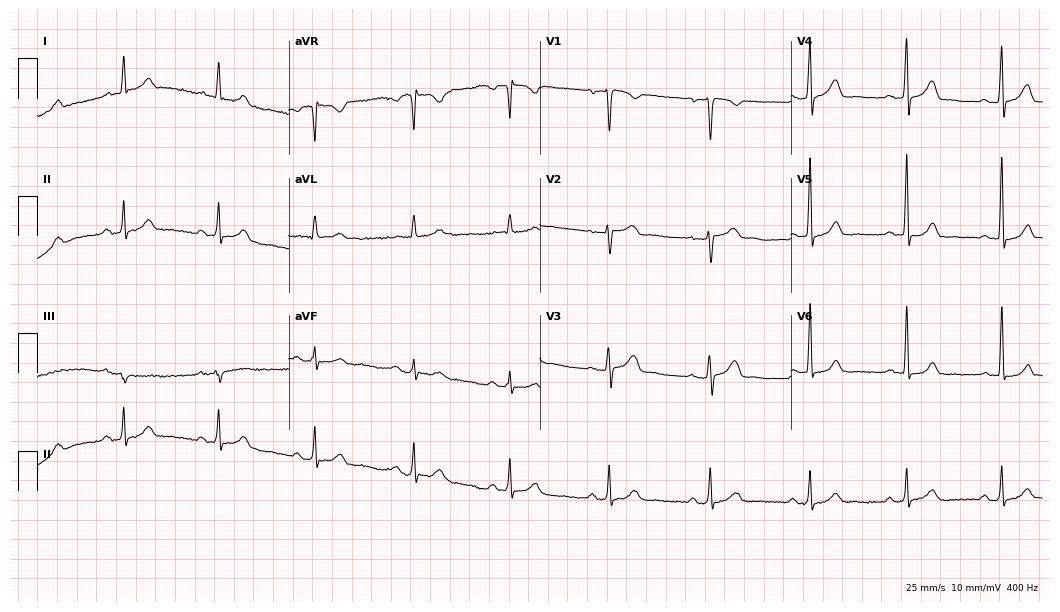
12-lead ECG (10.2-second recording at 400 Hz) from a female, 50 years old. Labelled as a normal ECG.